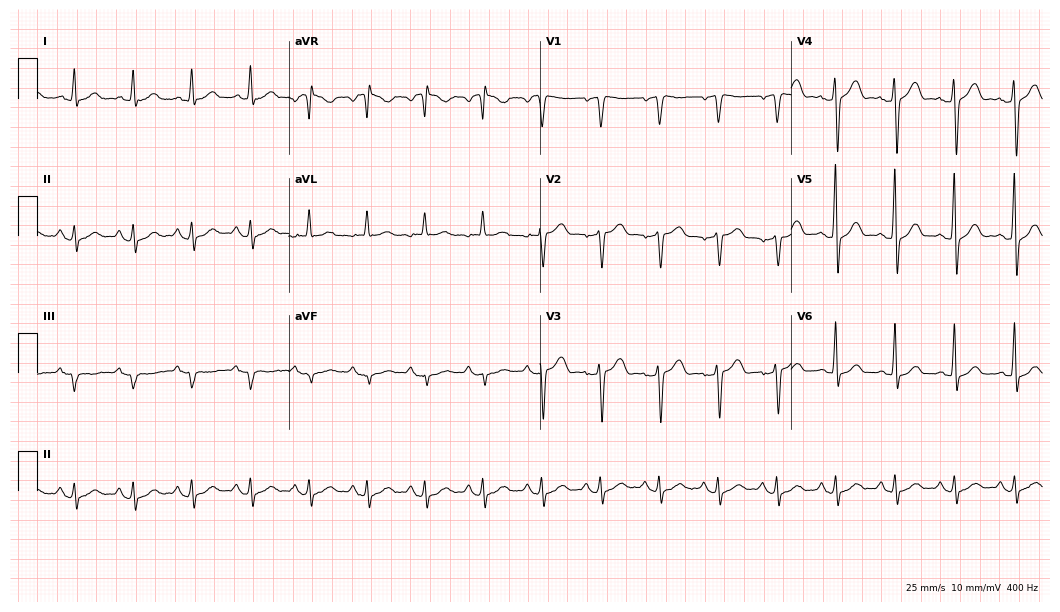
Standard 12-lead ECG recorded from a 54-year-old male patient. None of these six findings is recorded: first-degree AV block, right bundle branch block (RBBB), left bundle branch block (LBBB), sinus bradycardia, atrial fibrillation (AF), sinus tachycardia.